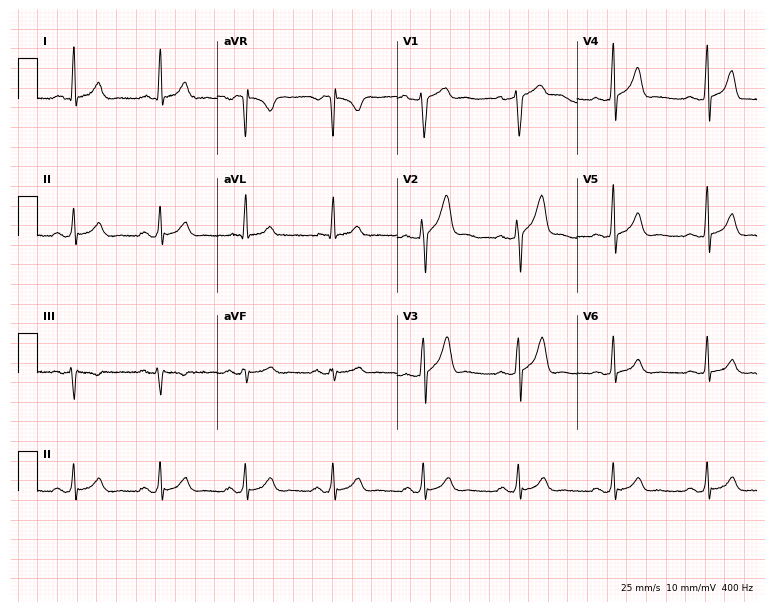
ECG — a male, 35 years old. Labelled as a normal ECG.